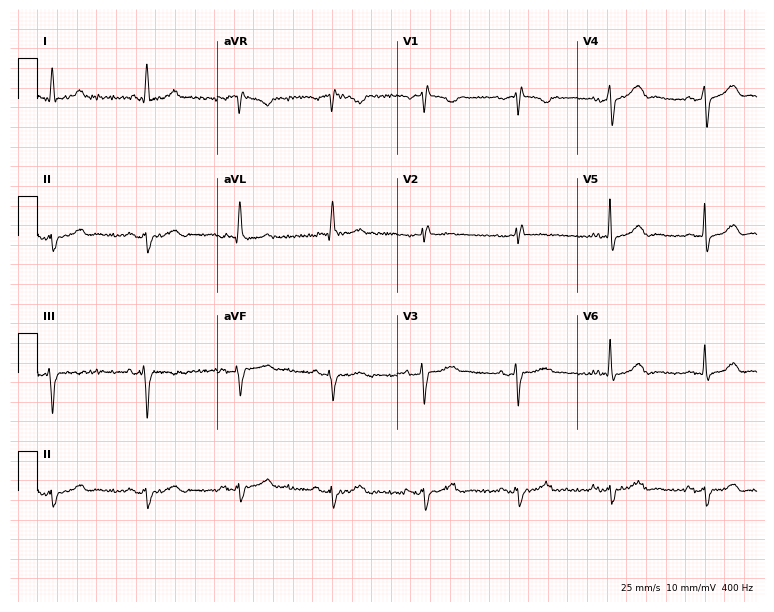
ECG (7.3-second recording at 400 Hz) — a male, 73 years old. Screened for six findings — first-degree AV block, right bundle branch block, left bundle branch block, sinus bradycardia, atrial fibrillation, sinus tachycardia — none is recorded.